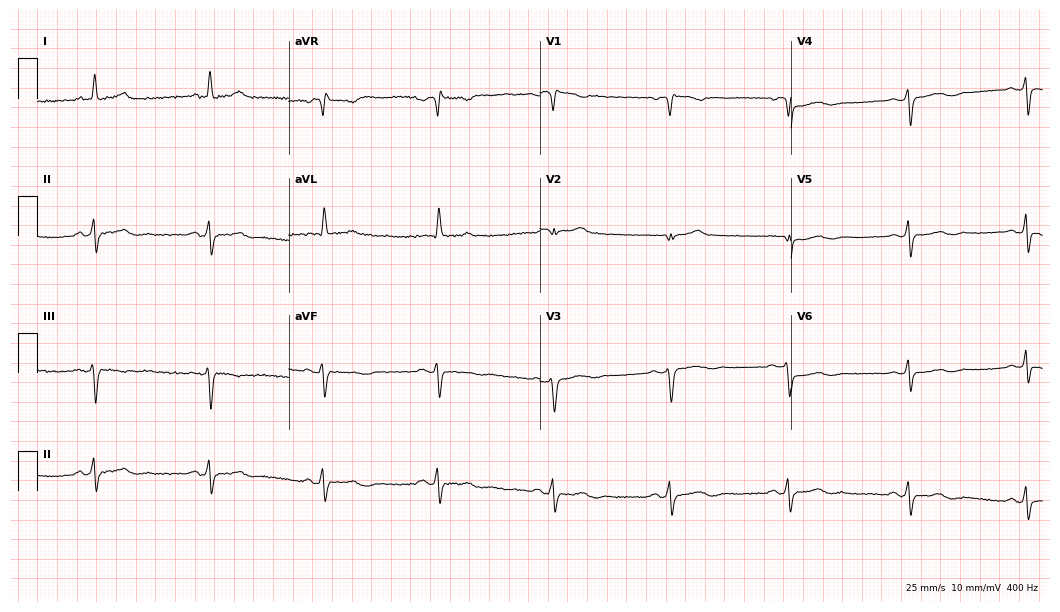
12-lead ECG (10.2-second recording at 400 Hz) from a 65-year-old female. Screened for six findings — first-degree AV block, right bundle branch block, left bundle branch block, sinus bradycardia, atrial fibrillation, sinus tachycardia — none is recorded. Only these six findings were labelled.